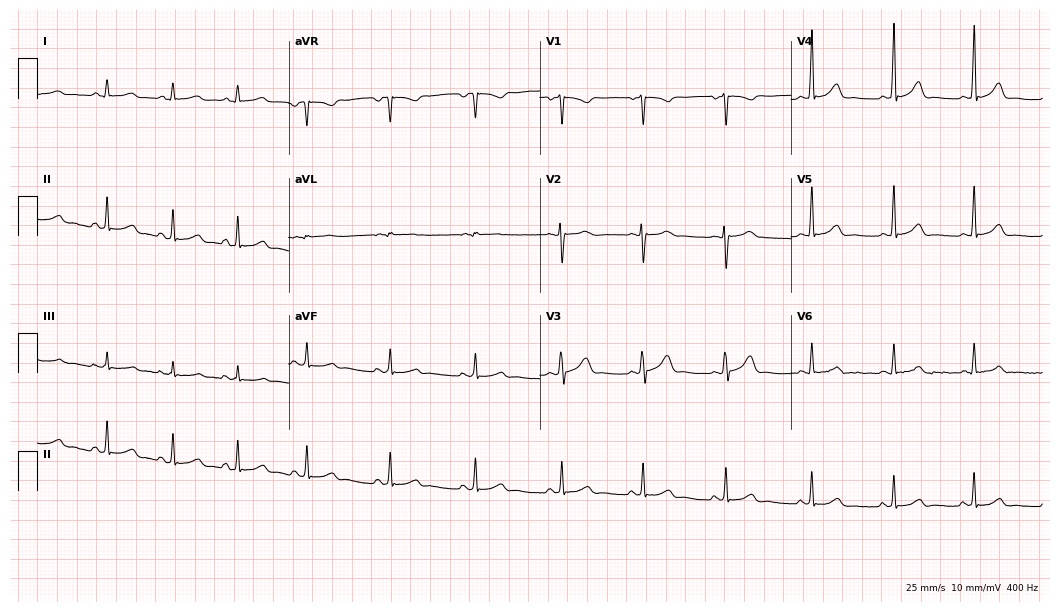
12-lead ECG from a 19-year-old woman. Screened for six findings — first-degree AV block, right bundle branch block, left bundle branch block, sinus bradycardia, atrial fibrillation, sinus tachycardia — none is recorded. Other findings, if any, are not listed.